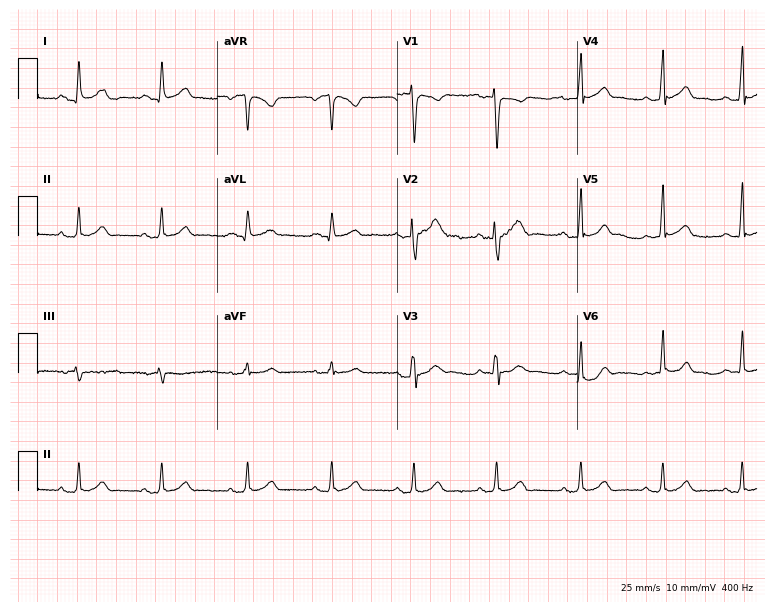
ECG (7.3-second recording at 400 Hz) — a man, 26 years old. Labelled as a normal ECG.